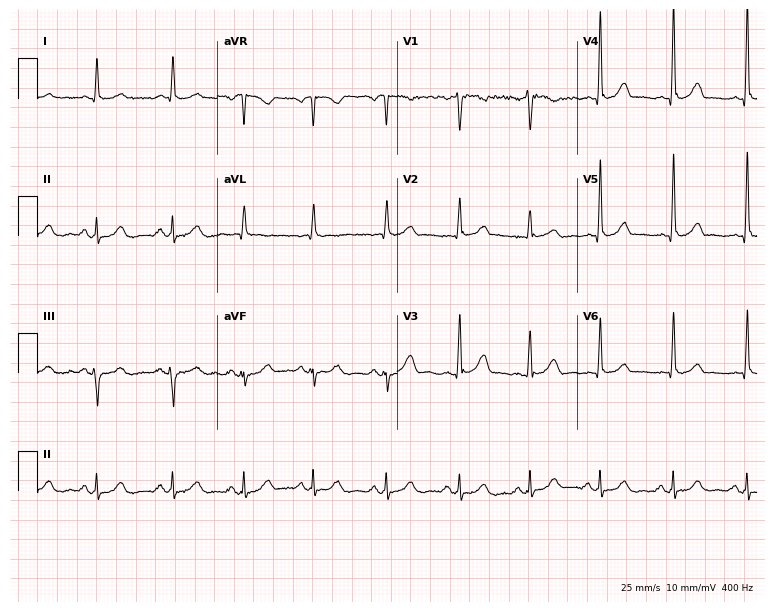
Electrocardiogram (7.3-second recording at 400 Hz), a 58-year-old female patient. Of the six screened findings (first-degree AV block, right bundle branch block (RBBB), left bundle branch block (LBBB), sinus bradycardia, atrial fibrillation (AF), sinus tachycardia), none is recorded.